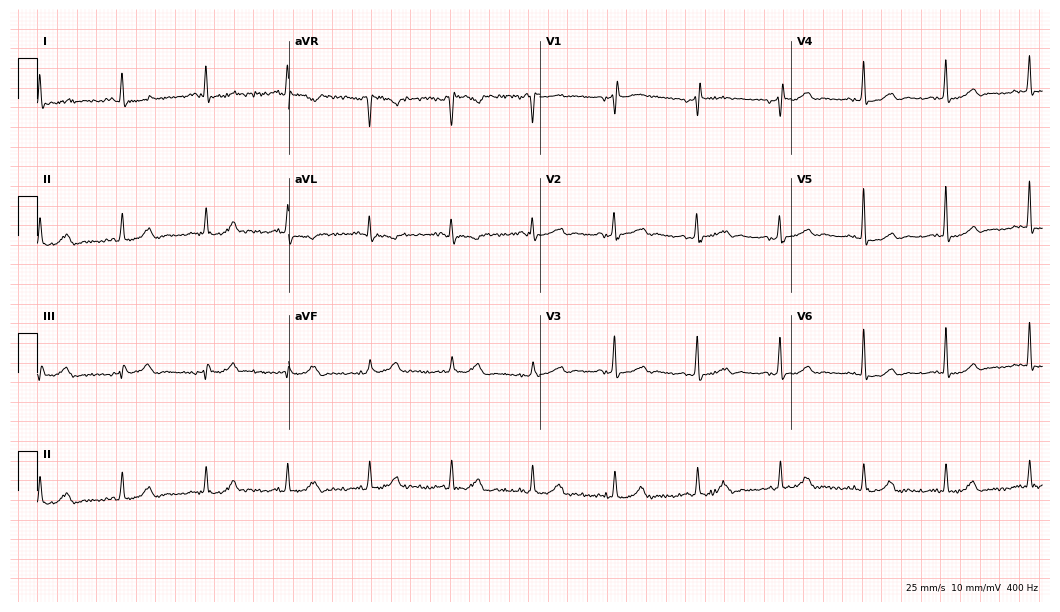
Resting 12-lead electrocardiogram (10.2-second recording at 400 Hz). Patient: a female, 66 years old. None of these six findings is recorded: first-degree AV block, right bundle branch block, left bundle branch block, sinus bradycardia, atrial fibrillation, sinus tachycardia. Findings outside these six are not listed.